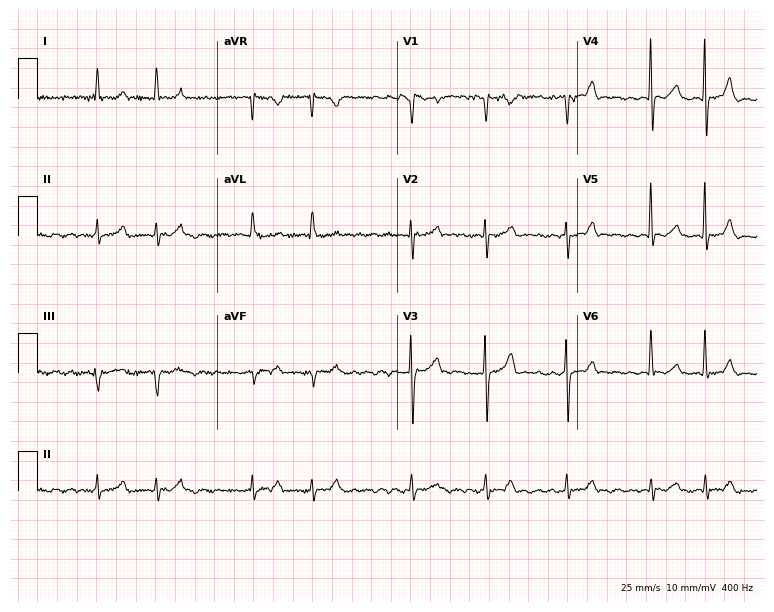
Standard 12-lead ECG recorded from a 52-year-old female patient (7.3-second recording at 400 Hz). None of these six findings is recorded: first-degree AV block, right bundle branch block, left bundle branch block, sinus bradycardia, atrial fibrillation, sinus tachycardia.